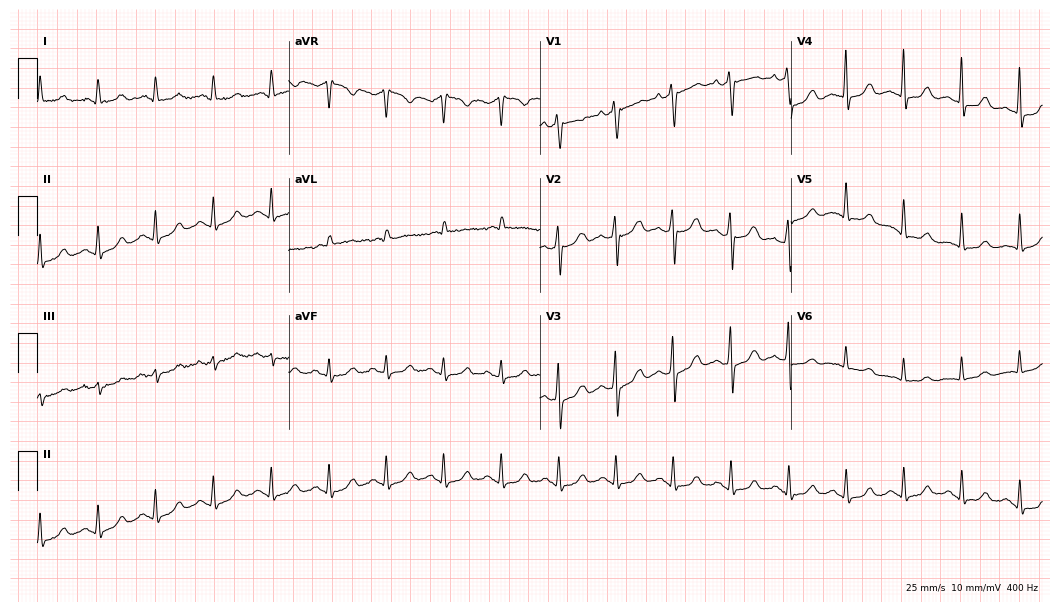
12-lead ECG (10.2-second recording at 400 Hz) from a 70-year-old woman. Screened for six findings — first-degree AV block, right bundle branch block (RBBB), left bundle branch block (LBBB), sinus bradycardia, atrial fibrillation (AF), sinus tachycardia — none is recorded.